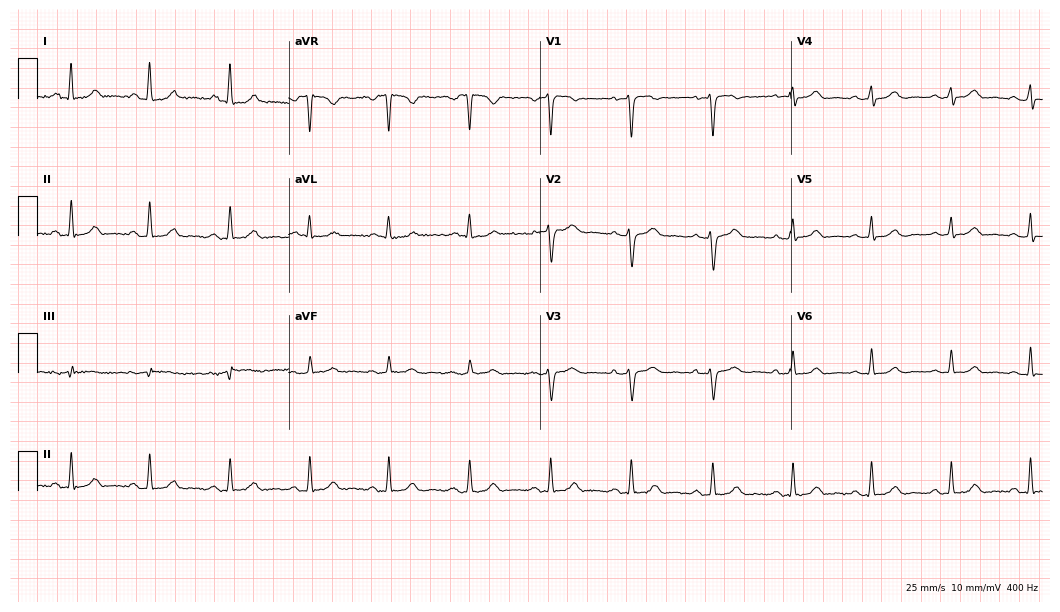
12-lead ECG (10.2-second recording at 400 Hz) from a female patient, 35 years old. Screened for six findings — first-degree AV block, right bundle branch block (RBBB), left bundle branch block (LBBB), sinus bradycardia, atrial fibrillation (AF), sinus tachycardia — none is recorded. Findings outside these six are not listed.